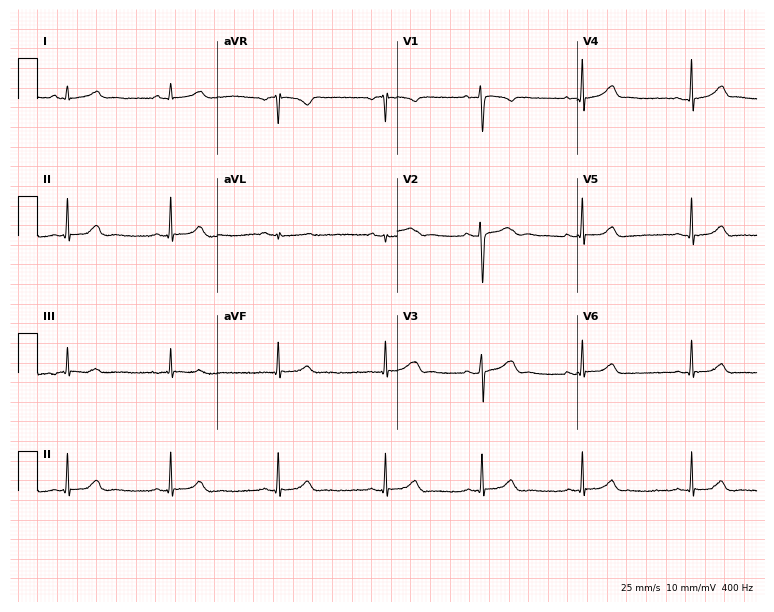
ECG — a woman, 17 years old. Labelled as a normal ECG.